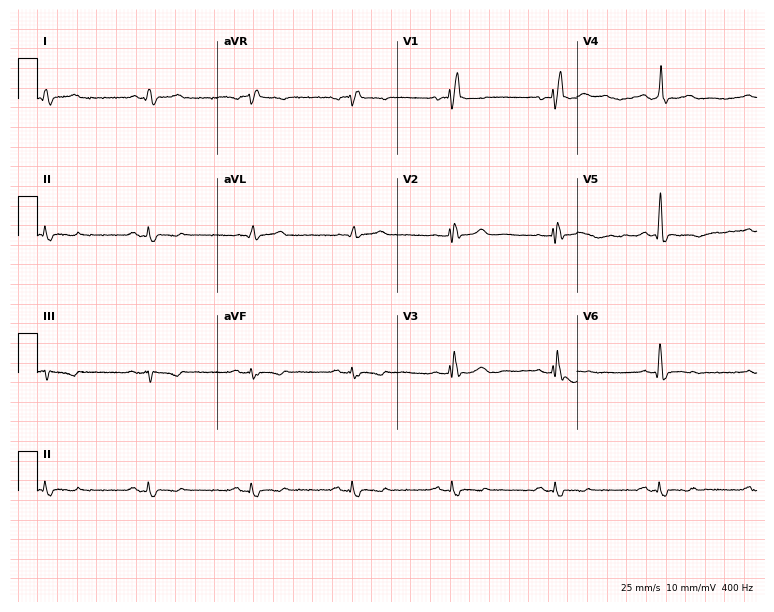
12-lead ECG (7.3-second recording at 400 Hz) from a 56-year-old man. Findings include right bundle branch block.